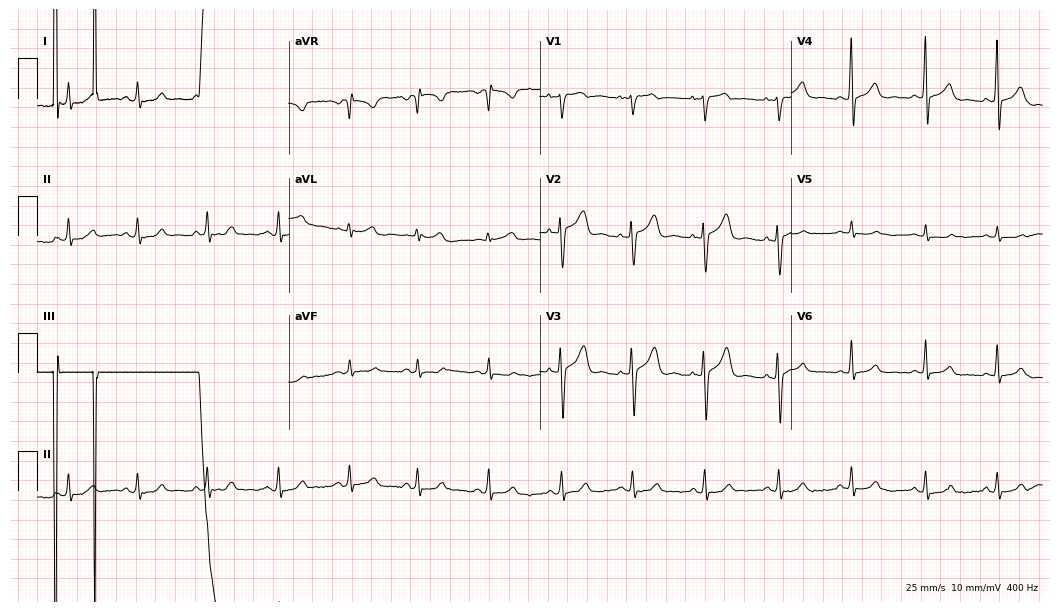
Resting 12-lead electrocardiogram. Patient: a 25-year-old woman. Read as a normal ECG.